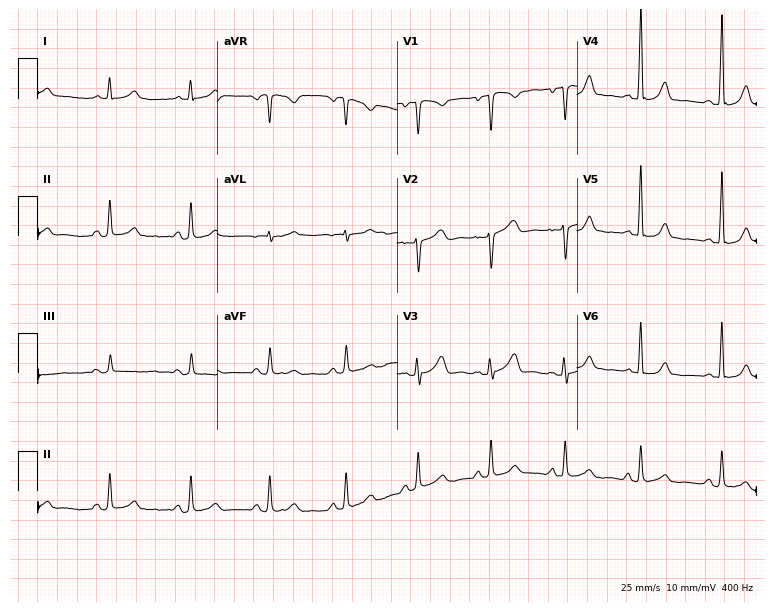
ECG — a woman, 40 years old. Screened for six findings — first-degree AV block, right bundle branch block (RBBB), left bundle branch block (LBBB), sinus bradycardia, atrial fibrillation (AF), sinus tachycardia — none is recorded.